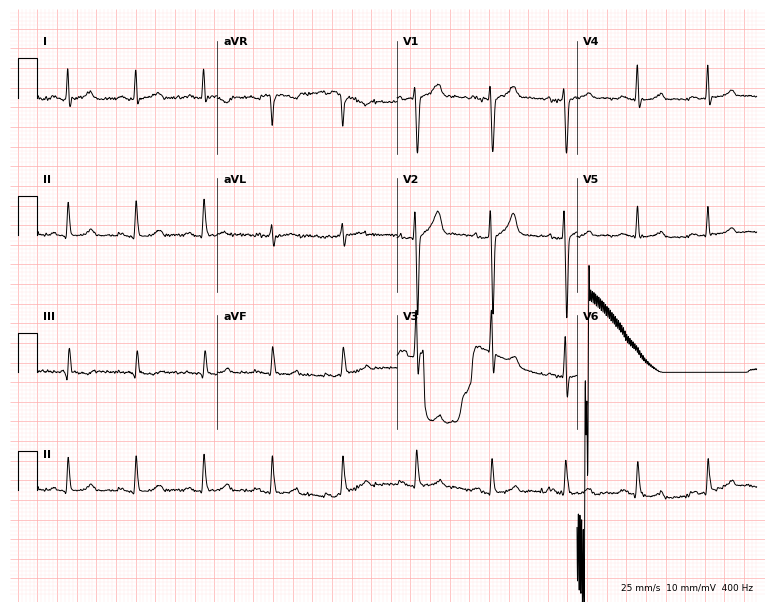
Resting 12-lead electrocardiogram. Patient: a 38-year-old male. Read as a normal ECG.